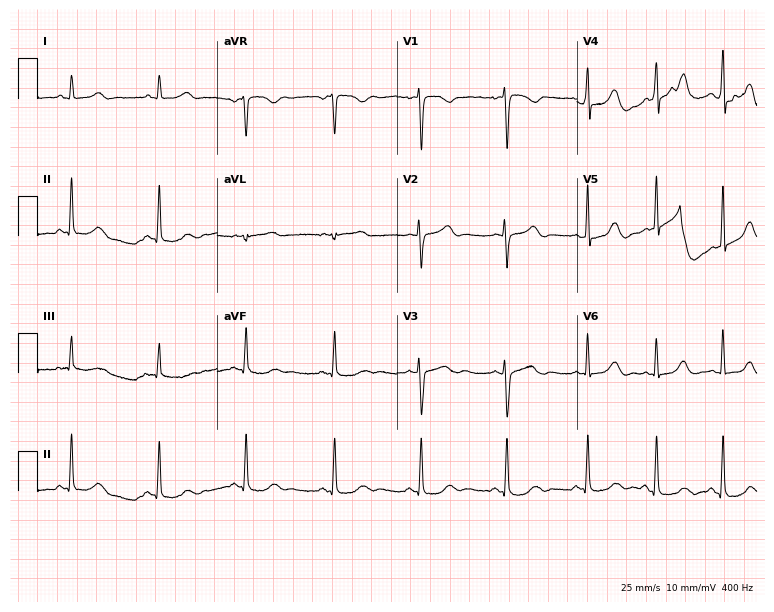
Resting 12-lead electrocardiogram. Patient: a female, 25 years old. Read as a normal ECG.